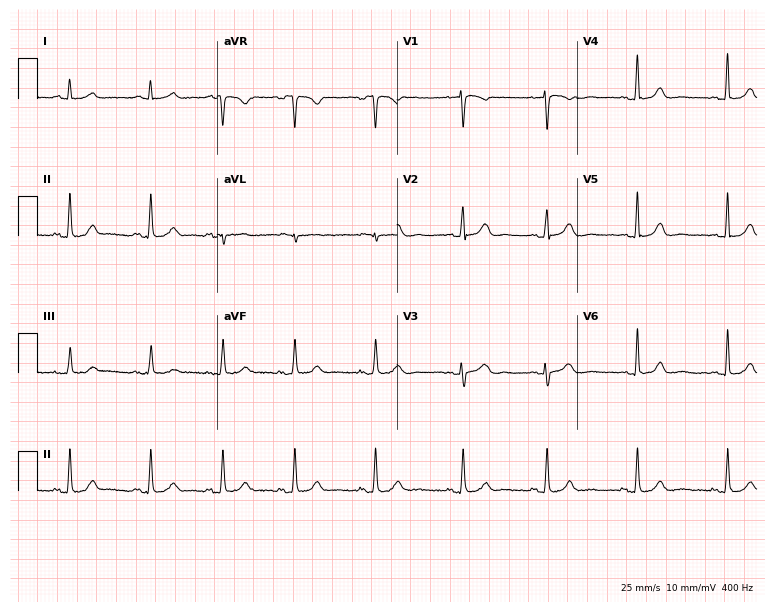
ECG — a female patient, 26 years old. Labelled as a normal ECG.